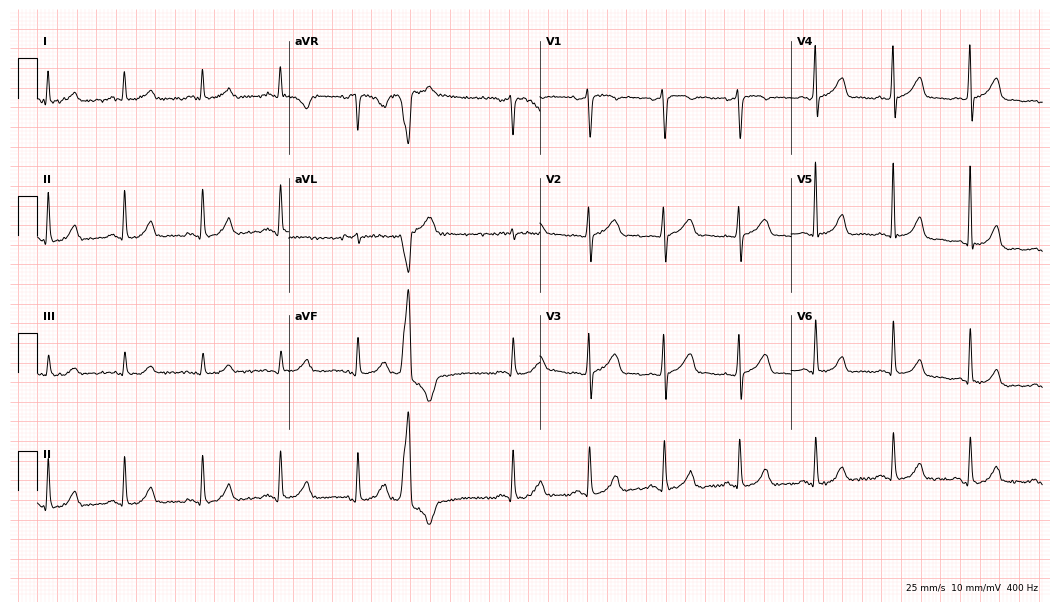
12-lead ECG from a female patient, 64 years old. Screened for six findings — first-degree AV block, right bundle branch block (RBBB), left bundle branch block (LBBB), sinus bradycardia, atrial fibrillation (AF), sinus tachycardia — none is recorded.